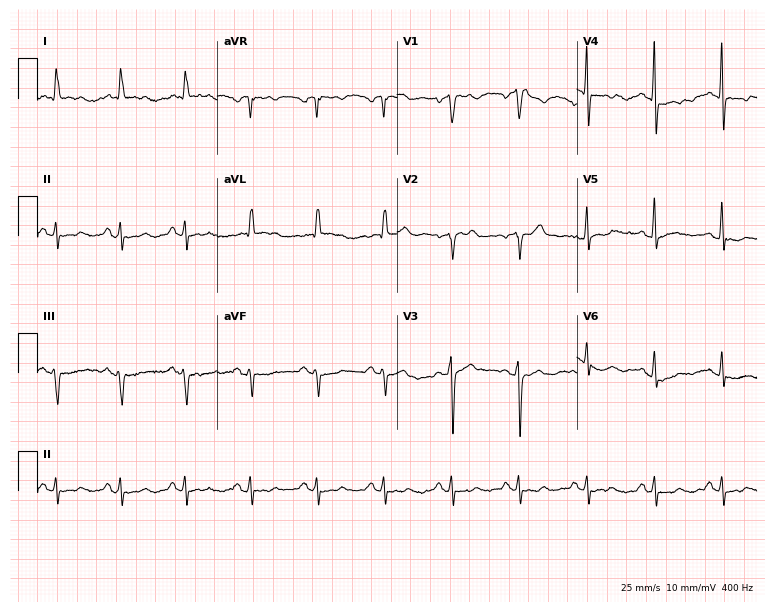
12-lead ECG from a 76-year-old male. Screened for six findings — first-degree AV block, right bundle branch block, left bundle branch block, sinus bradycardia, atrial fibrillation, sinus tachycardia — none is recorded.